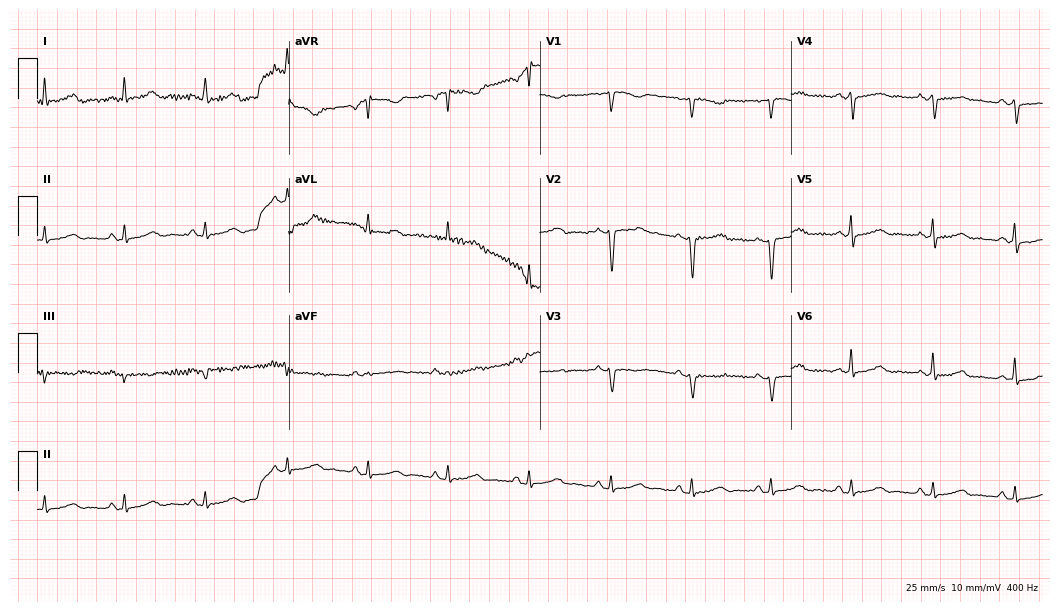
ECG (10.2-second recording at 400 Hz) — a woman, 44 years old. Screened for six findings — first-degree AV block, right bundle branch block, left bundle branch block, sinus bradycardia, atrial fibrillation, sinus tachycardia — none is recorded. Other findings, if any, are not listed.